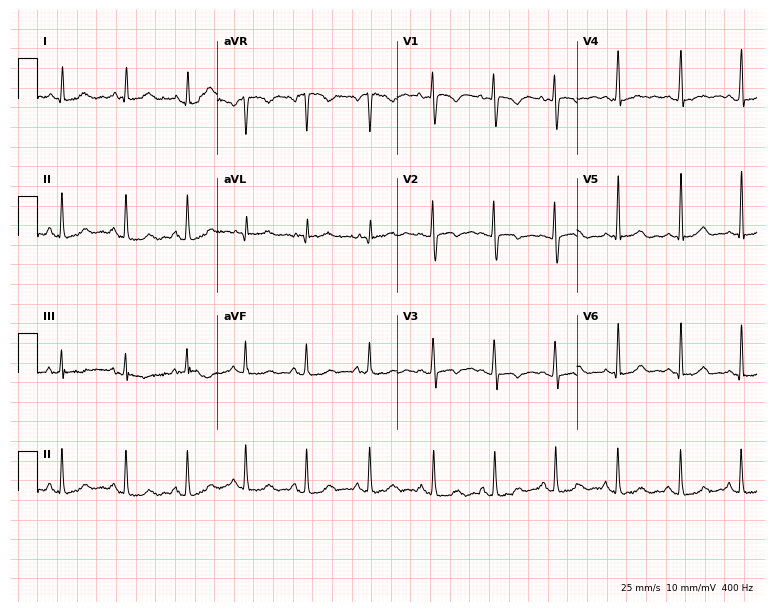
ECG — a woman, 20 years old. Screened for six findings — first-degree AV block, right bundle branch block, left bundle branch block, sinus bradycardia, atrial fibrillation, sinus tachycardia — none is recorded. Only these six findings were labelled.